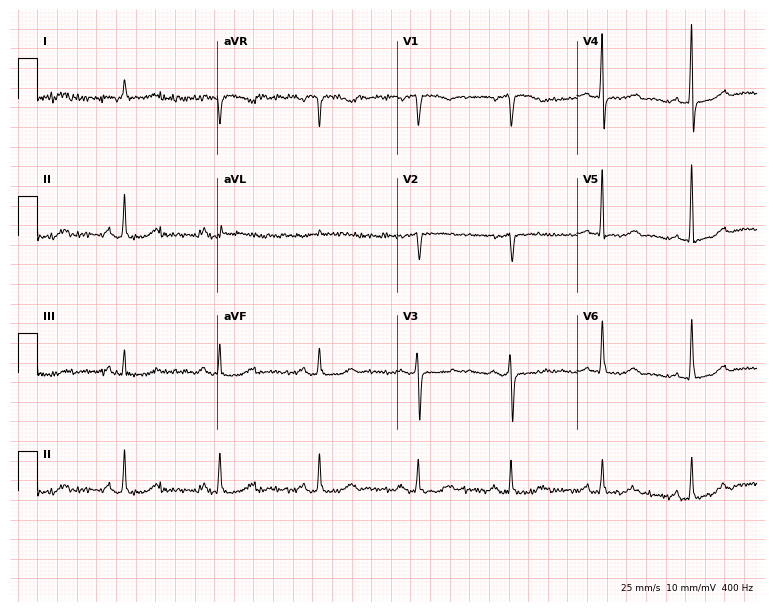
12-lead ECG from a 62-year-old woman (7.3-second recording at 400 Hz). Recorded interpretation: within normal limits.